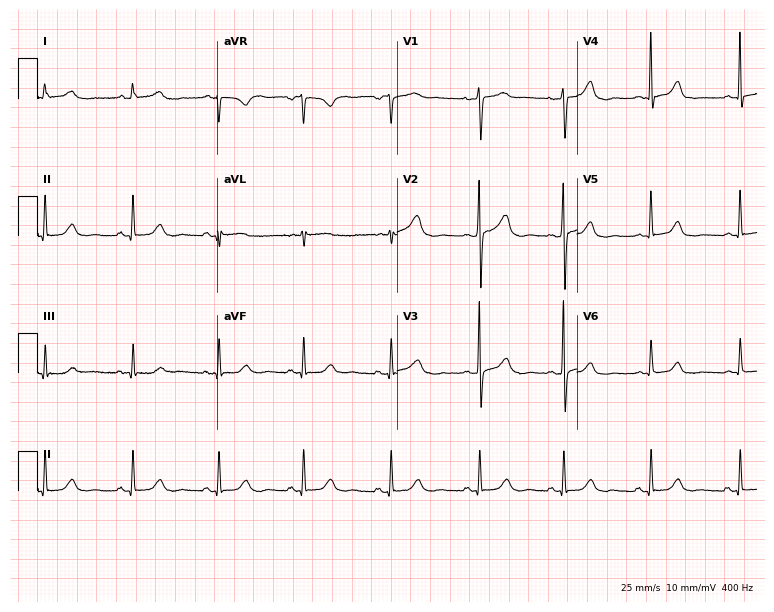
ECG — a 57-year-old female. Screened for six findings — first-degree AV block, right bundle branch block (RBBB), left bundle branch block (LBBB), sinus bradycardia, atrial fibrillation (AF), sinus tachycardia — none is recorded. Only these six findings were labelled.